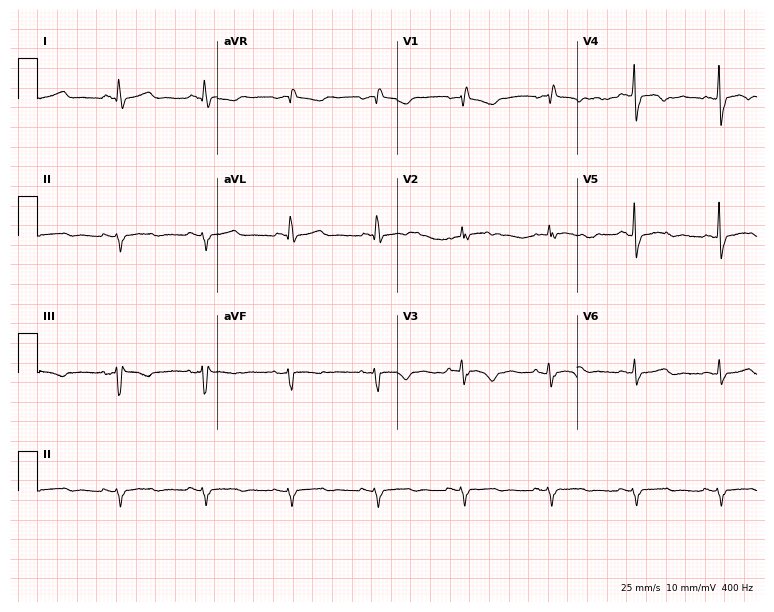
ECG (7.3-second recording at 400 Hz) — a 48-year-old woman. Screened for six findings — first-degree AV block, right bundle branch block, left bundle branch block, sinus bradycardia, atrial fibrillation, sinus tachycardia — none is recorded. Other findings, if any, are not listed.